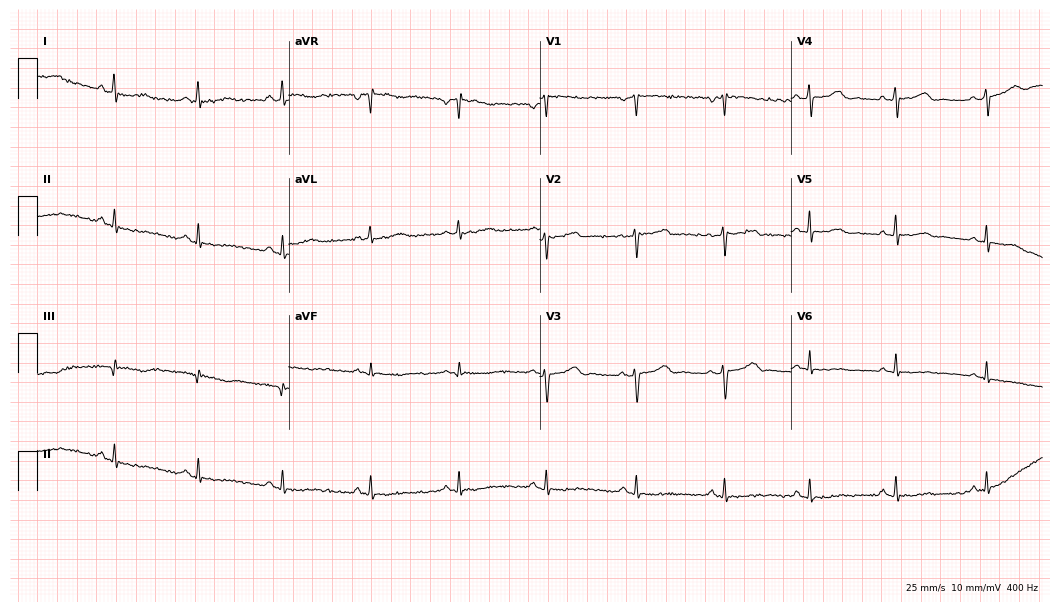
Electrocardiogram, a 40-year-old woman. Of the six screened findings (first-degree AV block, right bundle branch block (RBBB), left bundle branch block (LBBB), sinus bradycardia, atrial fibrillation (AF), sinus tachycardia), none is recorded. Other findings, if any, are not listed.